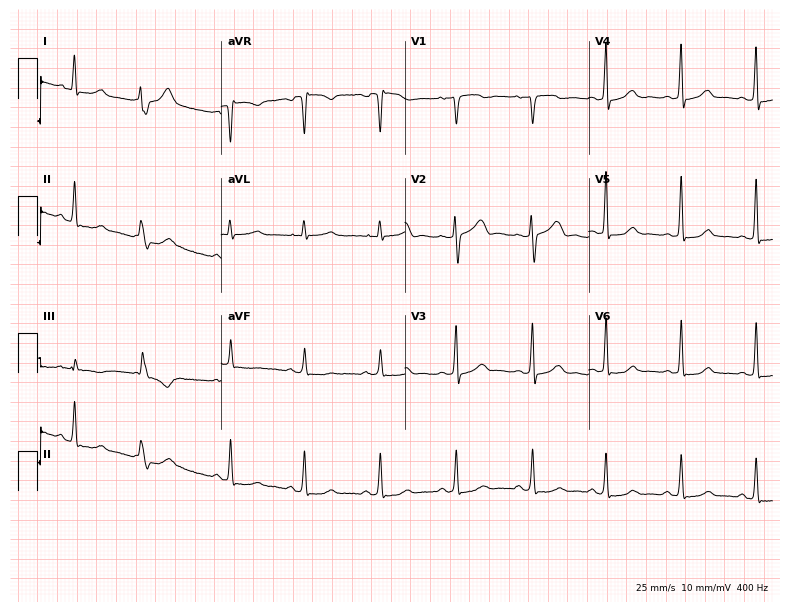
12-lead ECG from a 42-year-old woman (7.5-second recording at 400 Hz). No first-degree AV block, right bundle branch block (RBBB), left bundle branch block (LBBB), sinus bradycardia, atrial fibrillation (AF) or sinus tachycardia recorded for this tracing. Only these six findings were labelled.